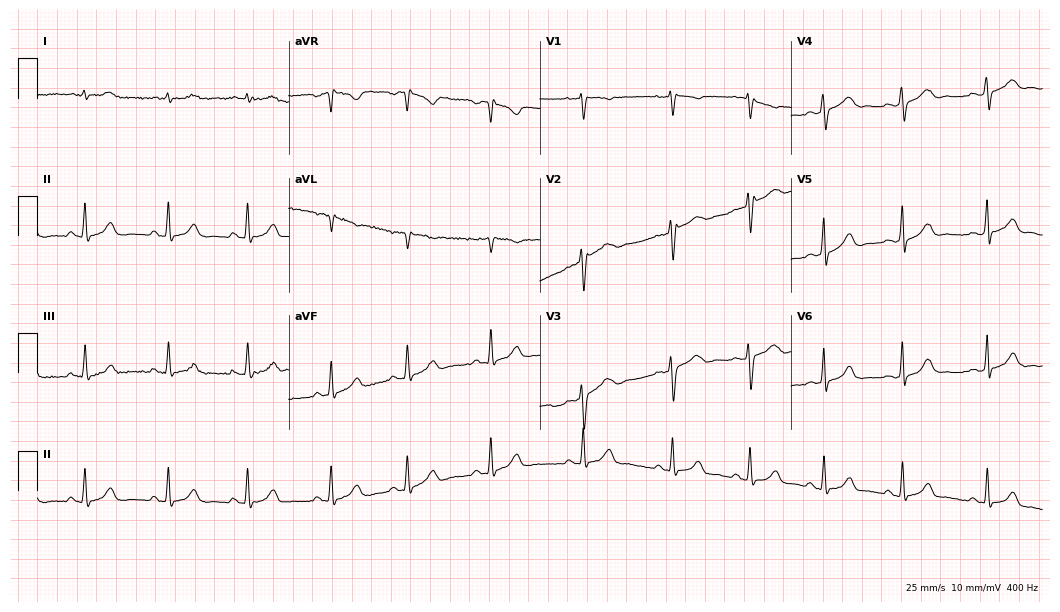
Electrocardiogram (10.2-second recording at 400 Hz), a 17-year-old female patient. Overall reading on record: normal ECG.